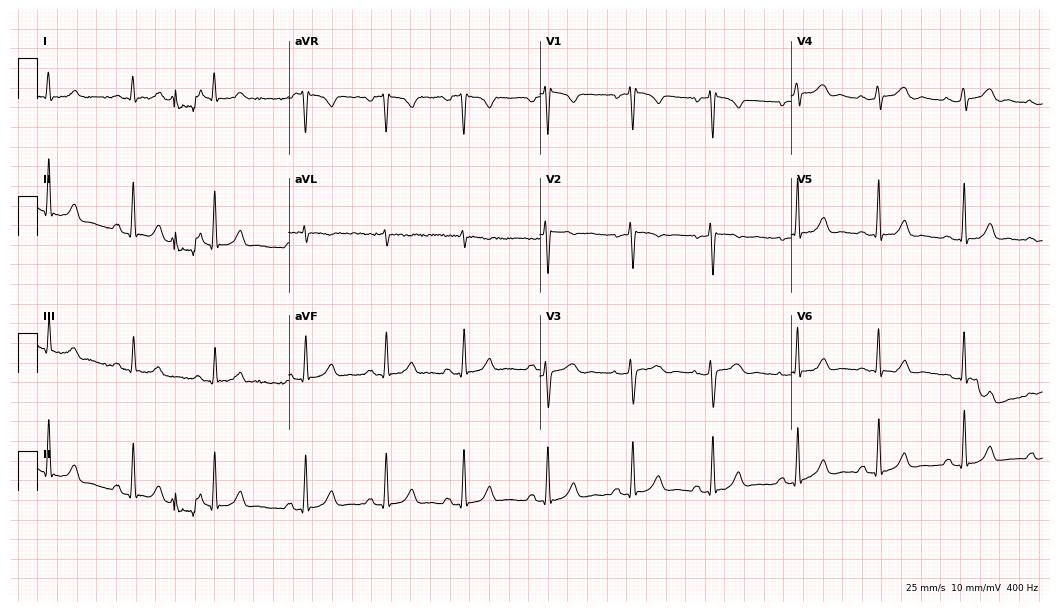
Electrocardiogram, a female patient, 35 years old. Of the six screened findings (first-degree AV block, right bundle branch block, left bundle branch block, sinus bradycardia, atrial fibrillation, sinus tachycardia), none is recorded. Only these six findings were labelled.